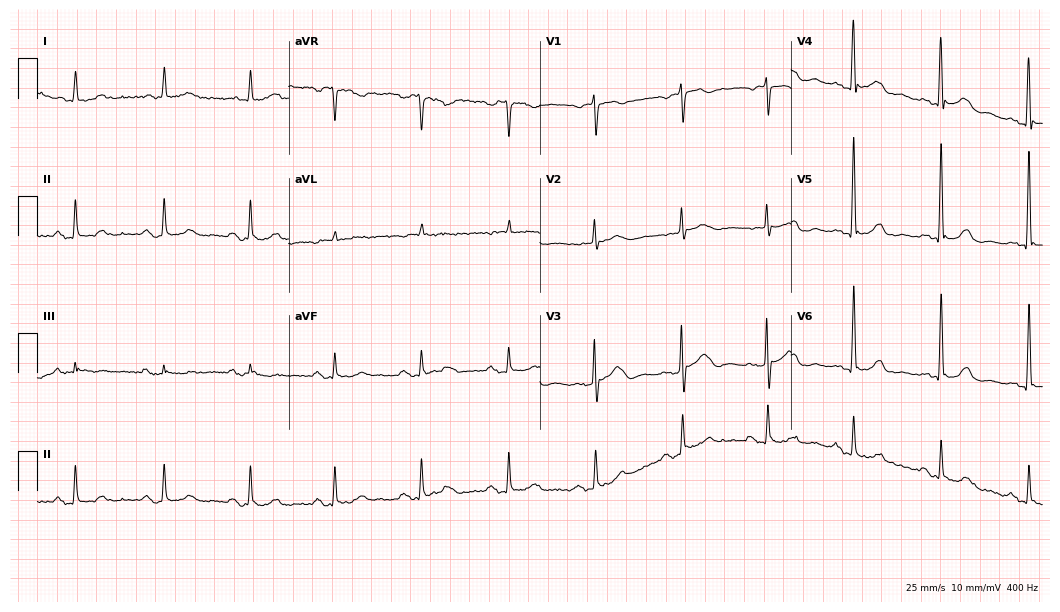
Resting 12-lead electrocardiogram (10.2-second recording at 400 Hz). Patient: a female, 70 years old. Read as a normal ECG.